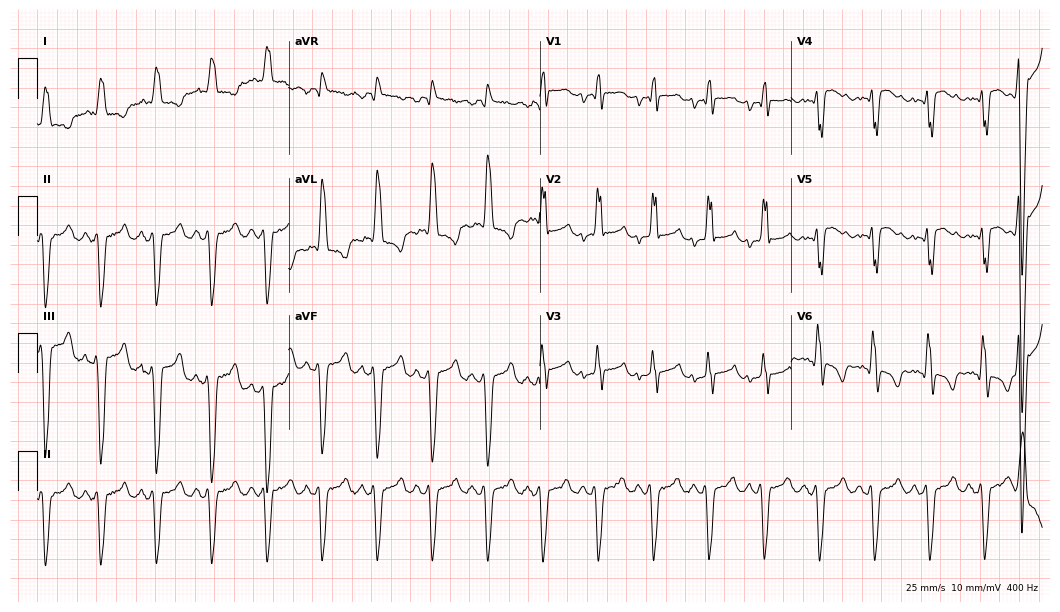
12-lead ECG from a 71-year-old male. Findings include right bundle branch block (RBBB).